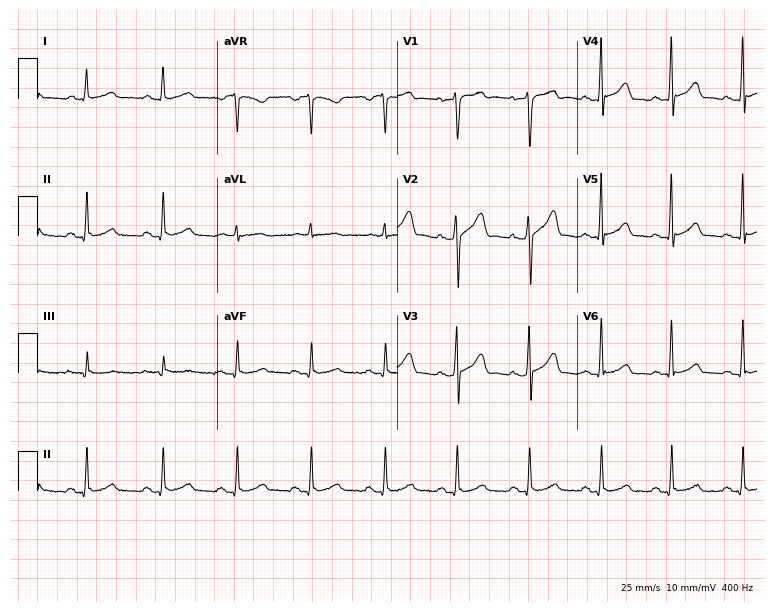
Standard 12-lead ECG recorded from a 49-year-old male. Read as a normal ECG.